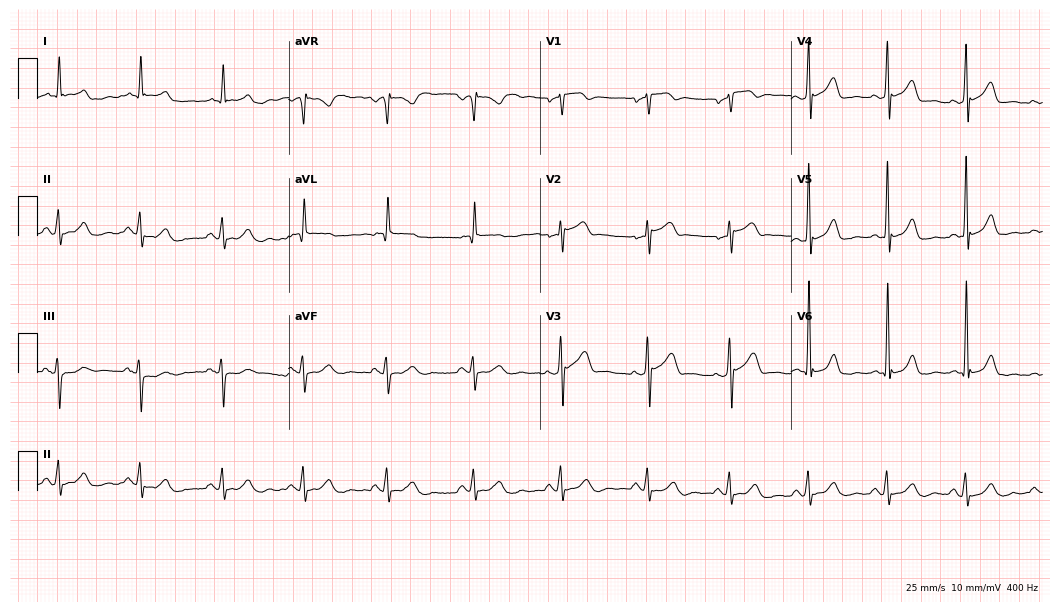
Electrocardiogram, a 71-year-old male. Of the six screened findings (first-degree AV block, right bundle branch block (RBBB), left bundle branch block (LBBB), sinus bradycardia, atrial fibrillation (AF), sinus tachycardia), none is recorded.